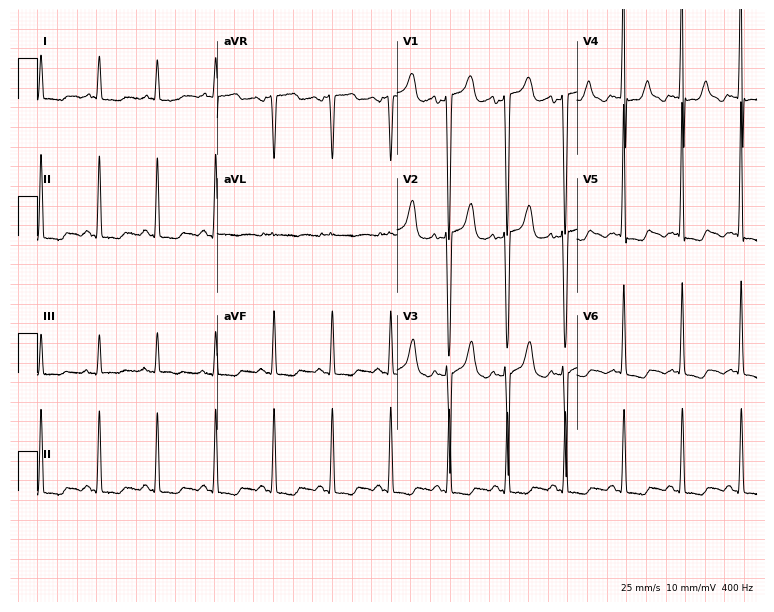
Resting 12-lead electrocardiogram. Patient: a 79-year-old male. The tracing shows sinus tachycardia (a sinus rate of 100 beats per minute or more).